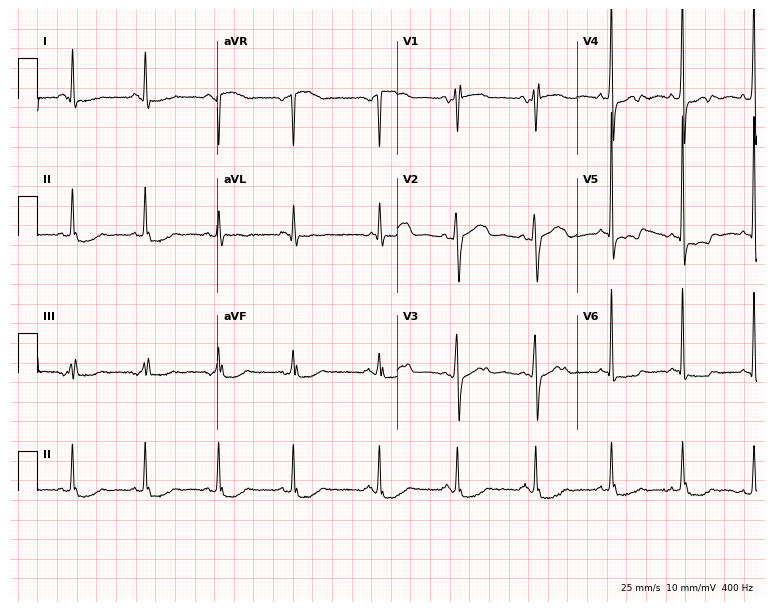
ECG — a woman, 78 years old. Screened for six findings — first-degree AV block, right bundle branch block, left bundle branch block, sinus bradycardia, atrial fibrillation, sinus tachycardia — none is recorded. Findings outside these six are not listed.